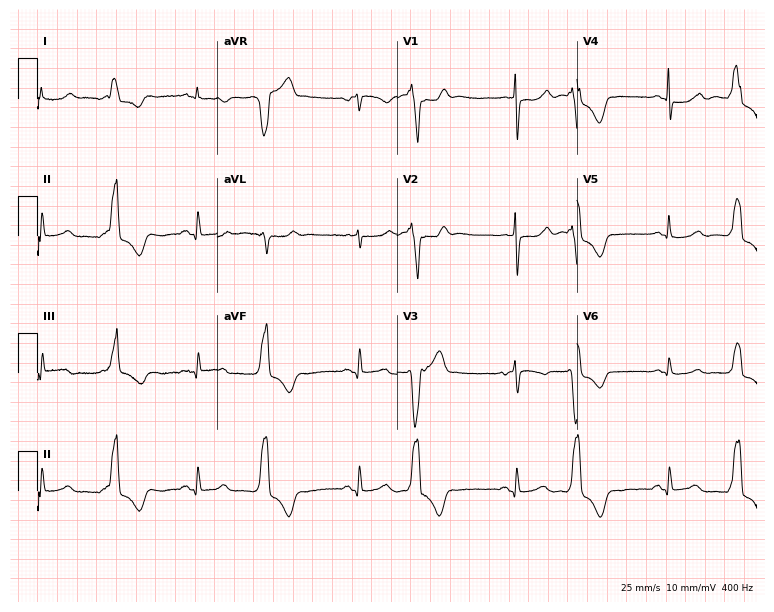
12-lead ECG from a woman, 58 years old. No first-degree AV block, right bundle branch block, left bundle branch block, sinus bradycardia, atrial fibrillation or sinus tachycardia recorded for this tracing.